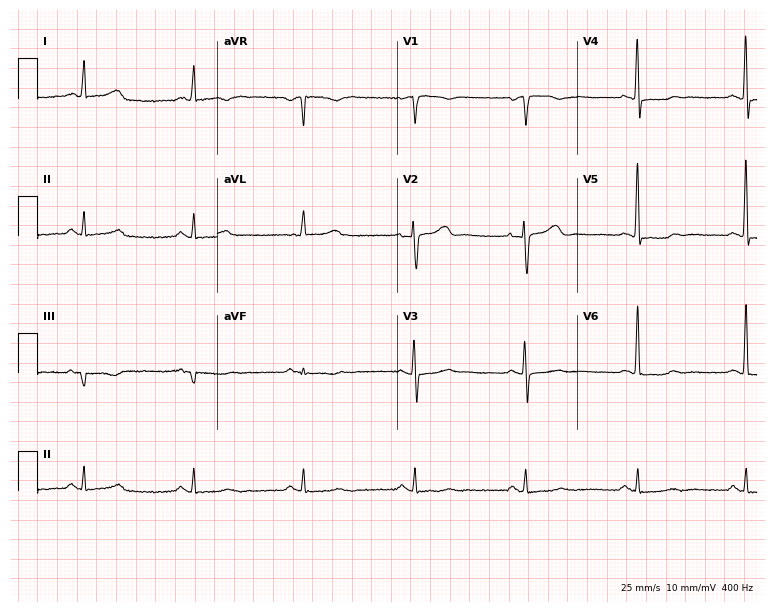
Standard 12-lead ECG recorded from a male patient, 71 years old. Read as a normal ECG.